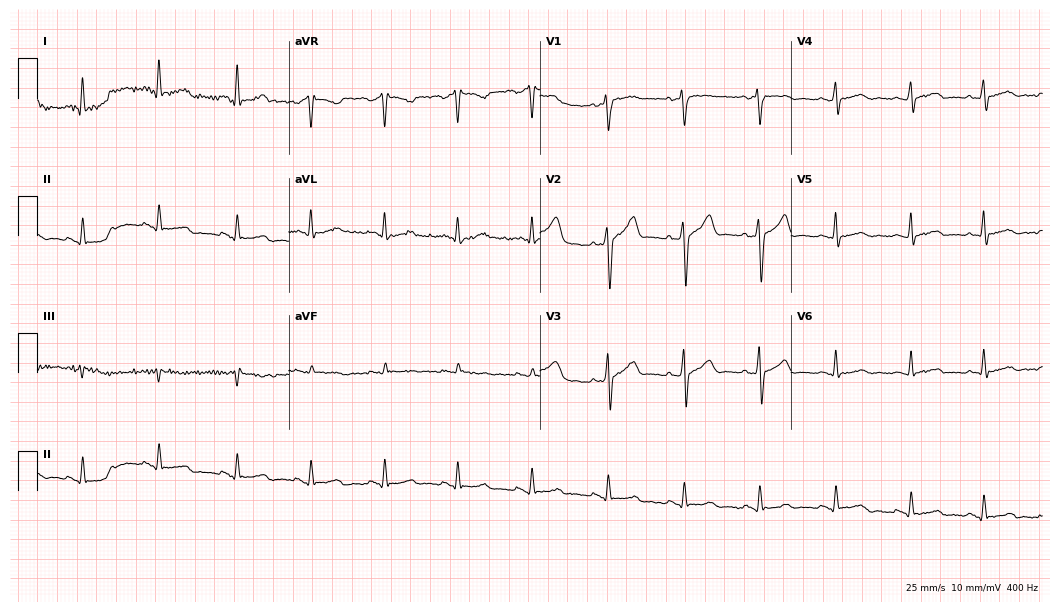
ECG — a 48-year-old man. Labelled as a normal ECG.